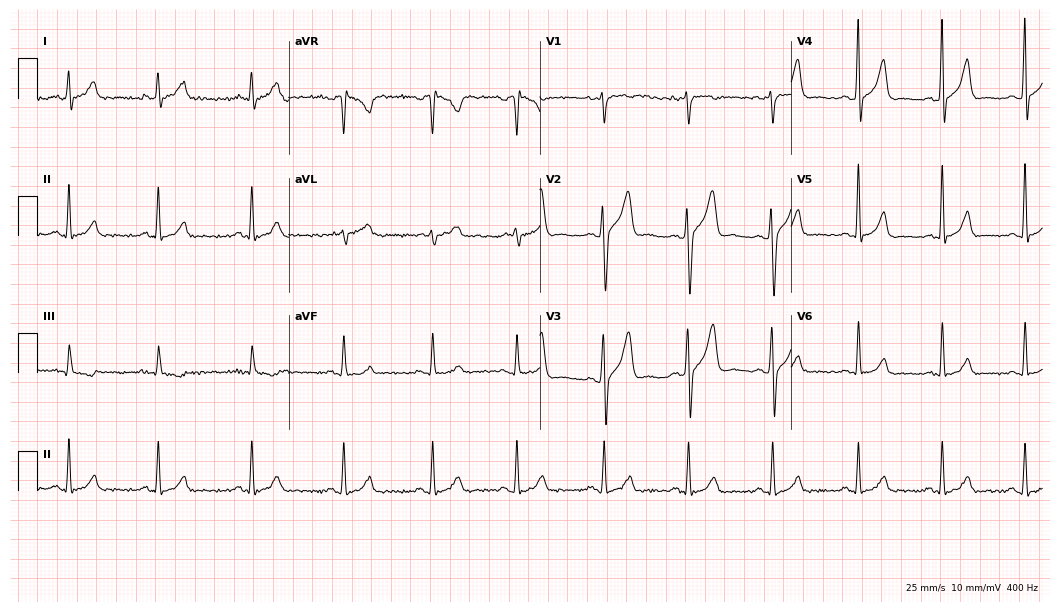
Resting 12-lead electrocardiogram. Patient: a 38-year-old man. Read as a normal ECG.